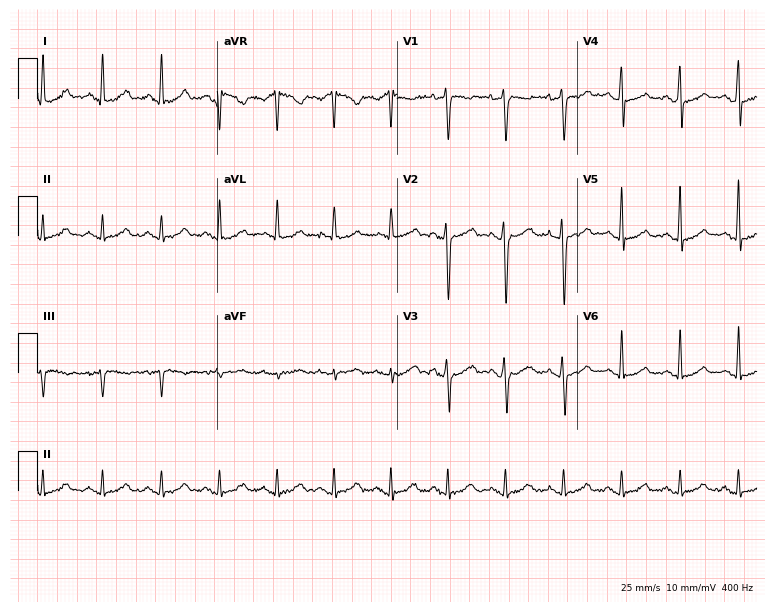
Standard 12-lead ECG recorded from a male patient, 49 years old. None of these six findings is recorded: first-degree AV block, right bundle branch block, left bundle branch block, sinus bradycardia, atrial fibrillation, sinus tachycardia. Findings outside these six are not listed.